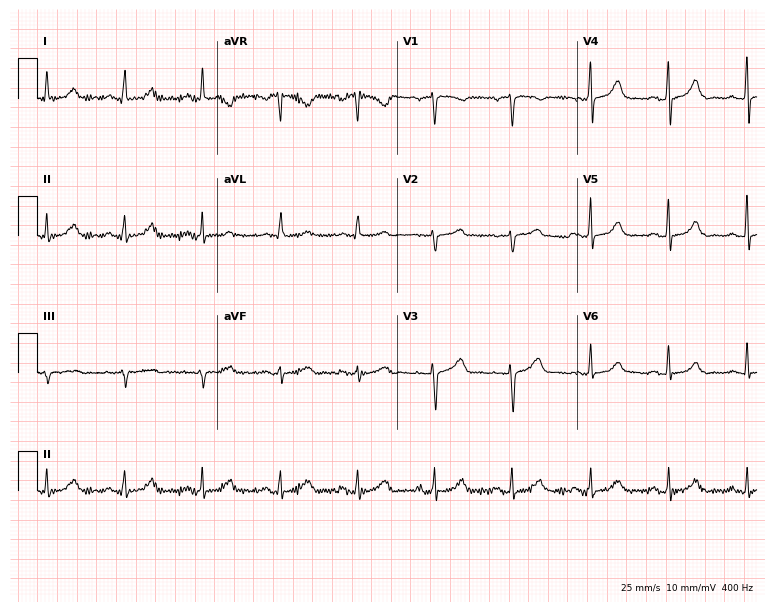
ECG (7.3-second recording at 400 Hz) — a female, 59 years old. Labelled as a normal ECG.